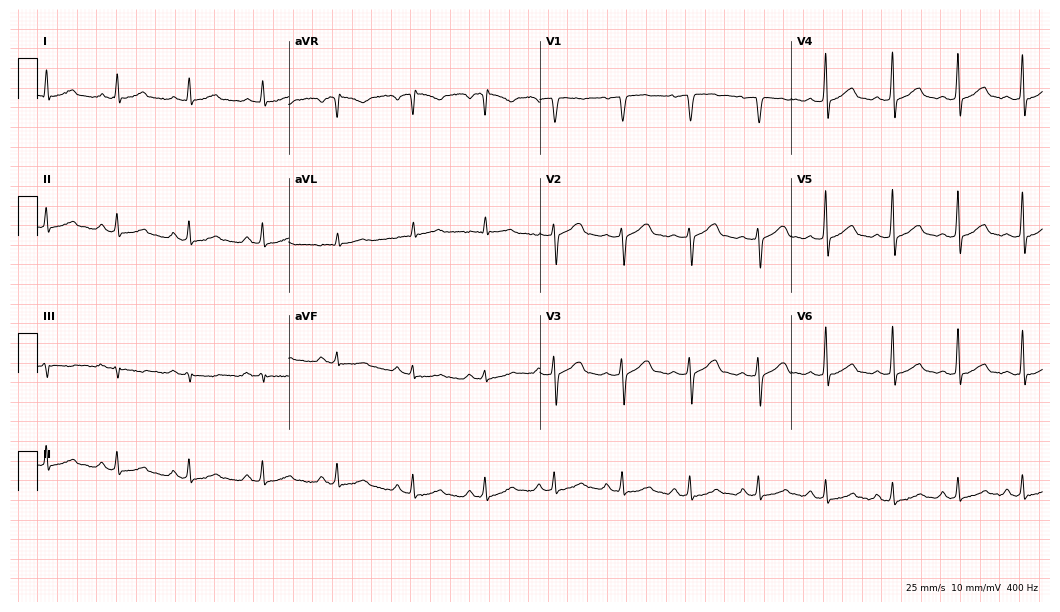
Standard 12-lead ECG recorded from a male patient, 54 years old. Read as a normal ECG.